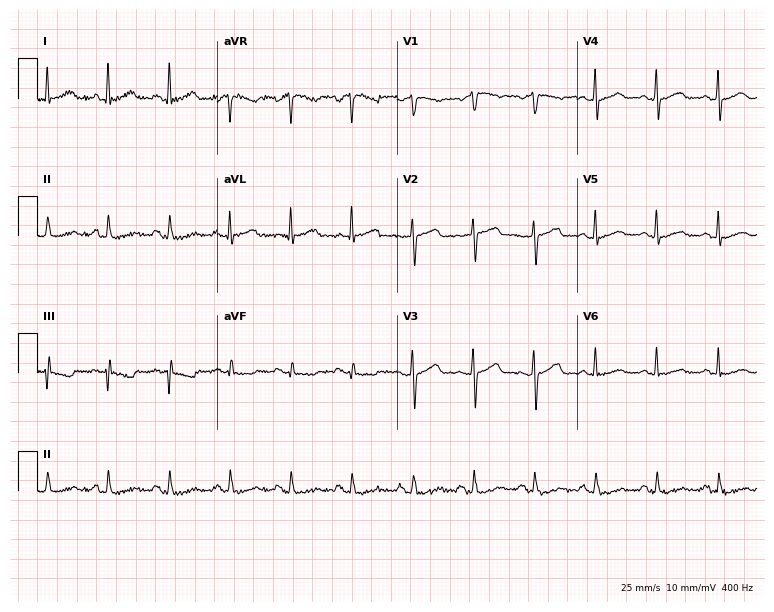
Electrocardiogram, a female, 56 years old. Overall reading on record: normal ECG.